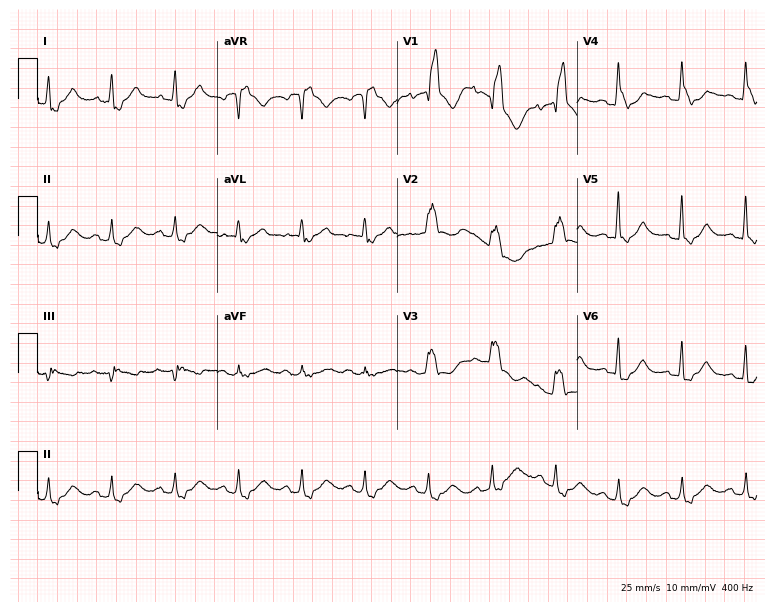
Standard 12-lead ECG recorded from a 78-year-old woman. The tracing shows right bundle branch block (RBBB).